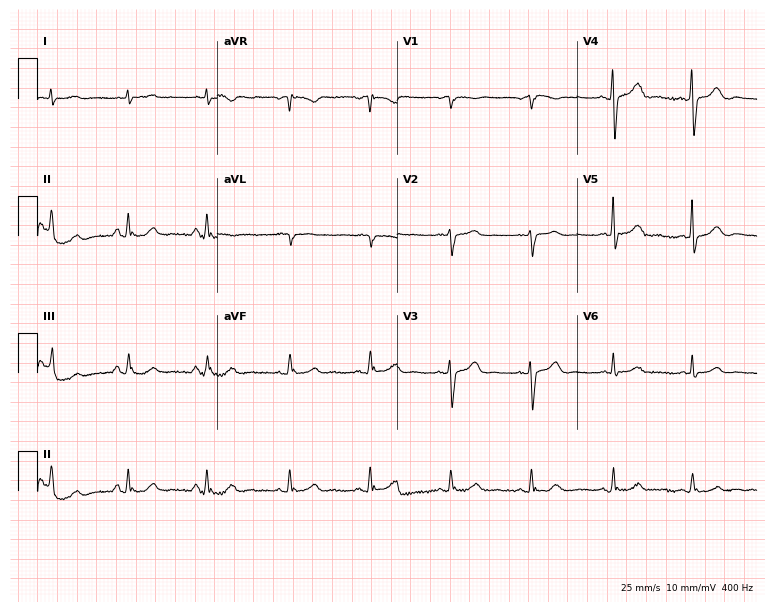
Standard 12-lead ECG recorded from a male patient, 76 years old. None of these six findings is recorded: first-degree AV block, right bundle branch block, left bundle branch block, sinus bradycardia, atrial fibrillation, sinus tachycardia.